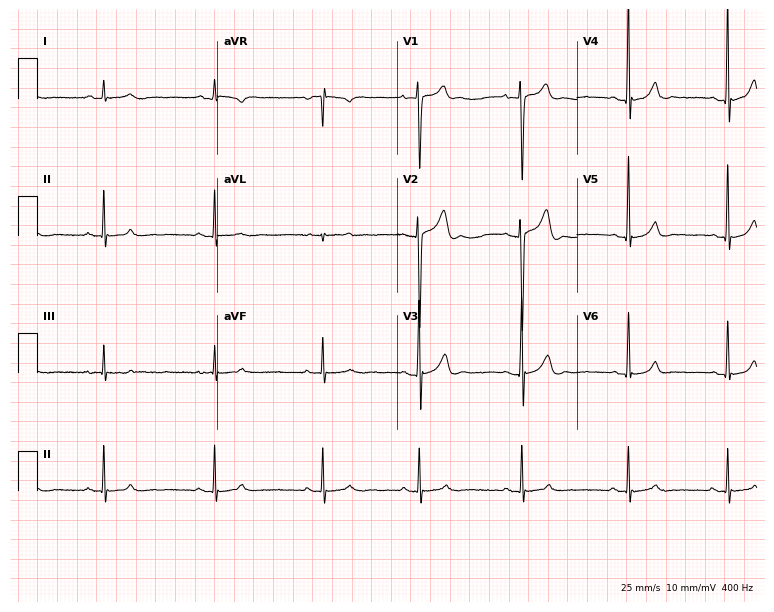
ECG — a 17-year-old male. Labelled as a normal ECG.